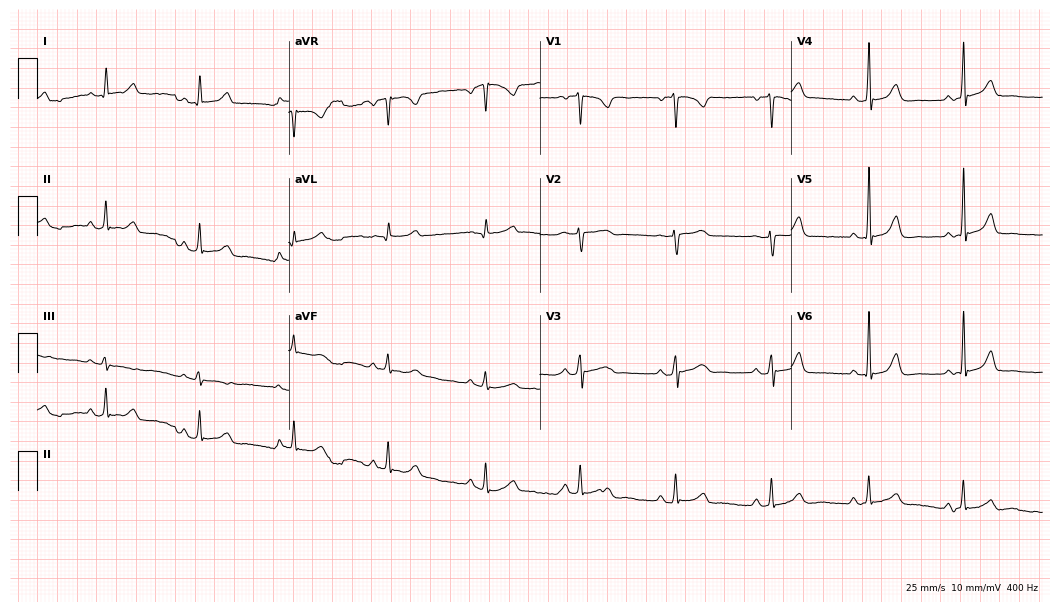
Resting 12-lead electrocardiogram (10.2-second recording at 400 Hz). Patient: a female, 37 years old. None of these six findings is recorded: first-degree AV block, right bundle branch block, left bundle branch block, sinus bradycardia, atrial fibrillation, sinus tachycardia. Other findings, if any, are not listed.